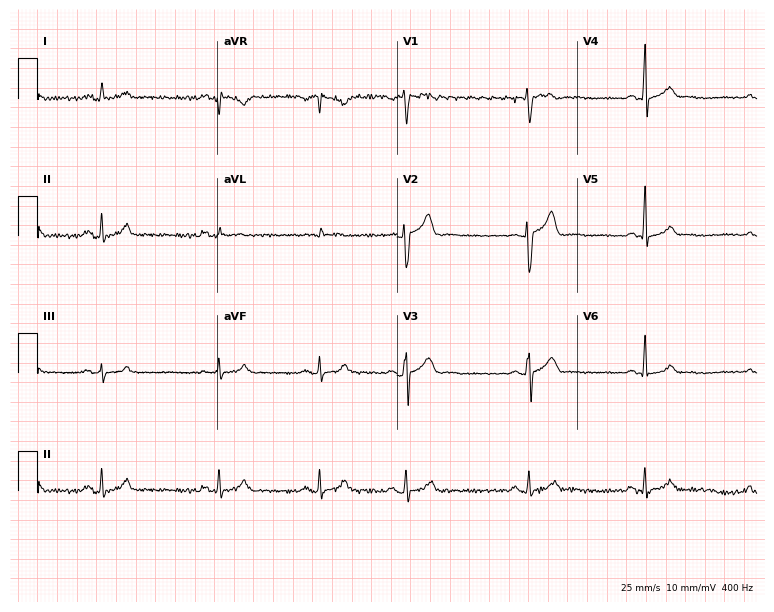
12-lead ECG from a 26-year-old male. Recorded interpretation: within normal limits.